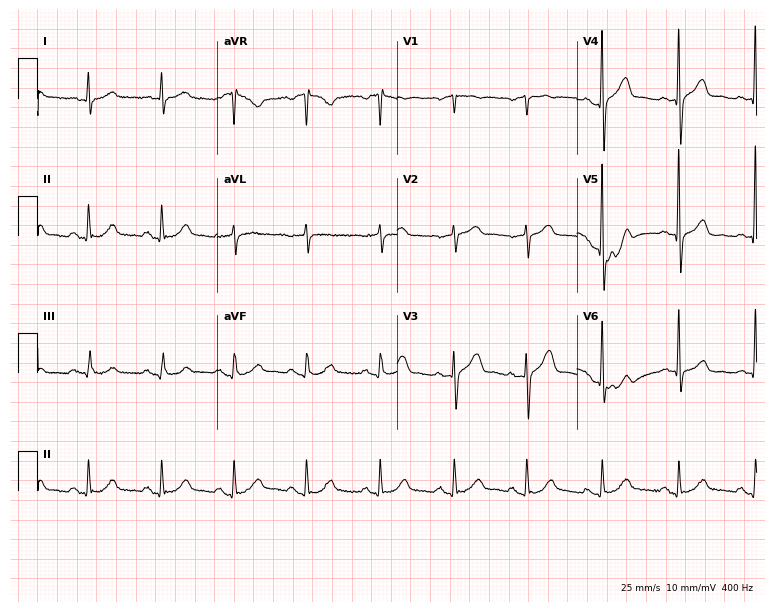
12-lead ECG (7.3-second recording at 400 Hz) from a man, 73 years old. Labelled as a normal ECG.